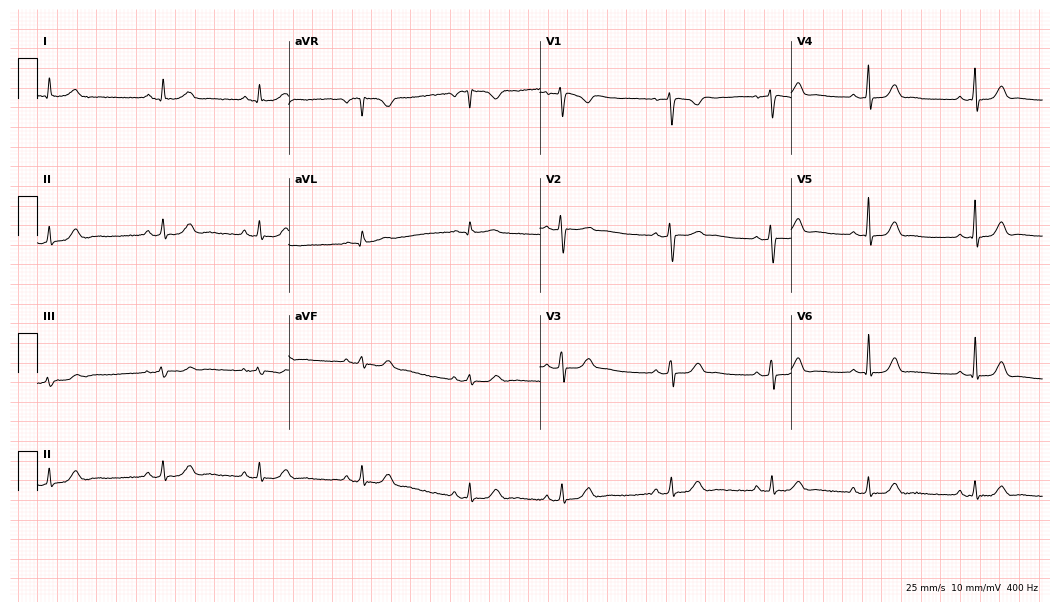
Electrocardiogram, a female, 25 years old. Overall reading on record: normal ECG.